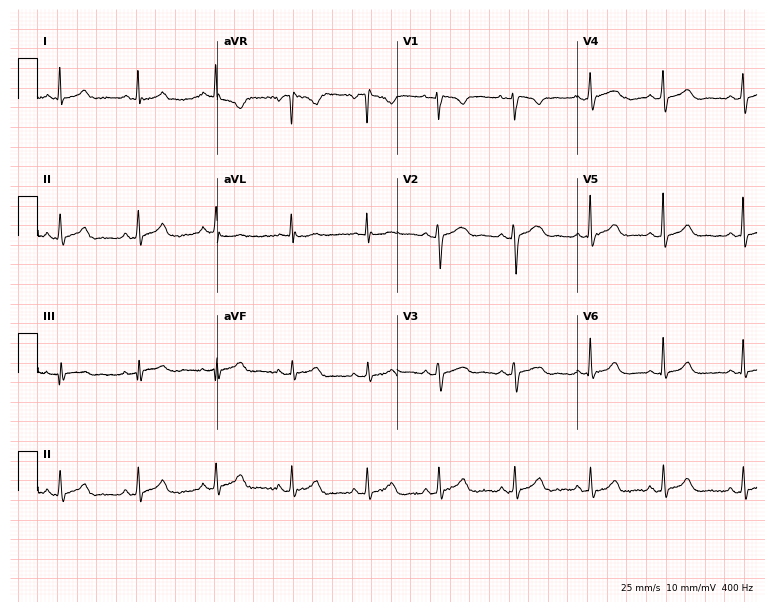
Electrocardiogram, a 32-year-old female. Overall reading on record: normal ECG.